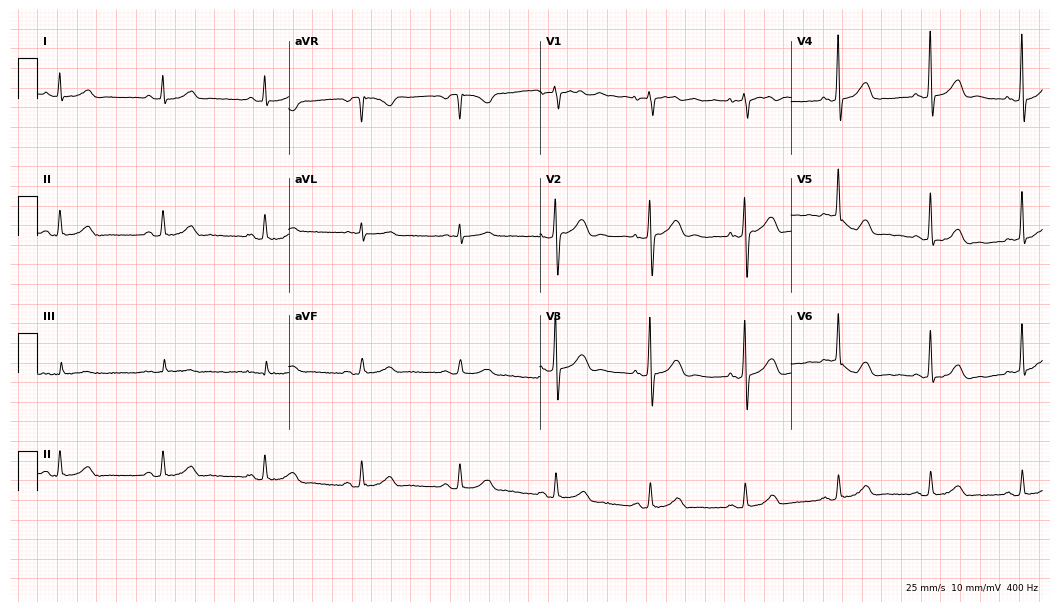
12-lead ECG from a female patient, 68 years old. No first-degree AV block, right bundle branch block, left bundle branch block, sinus bradycardia, atrial fibrillation or sinus tachycardia recorded for this tracing. Findings outside these six are not listed.